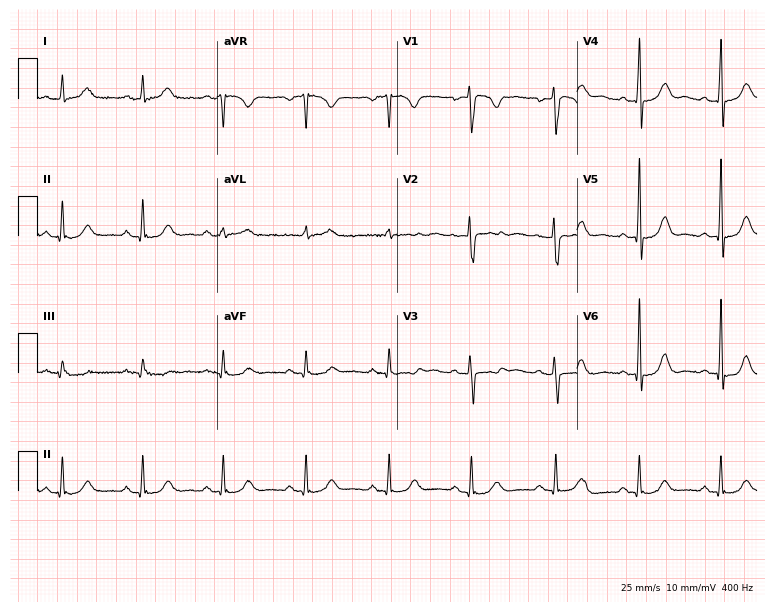
Standard 12-lead ECG recorded from a 44-year-old female patient (7.3-second recording at 400 Hz). Read as a normal ECG.